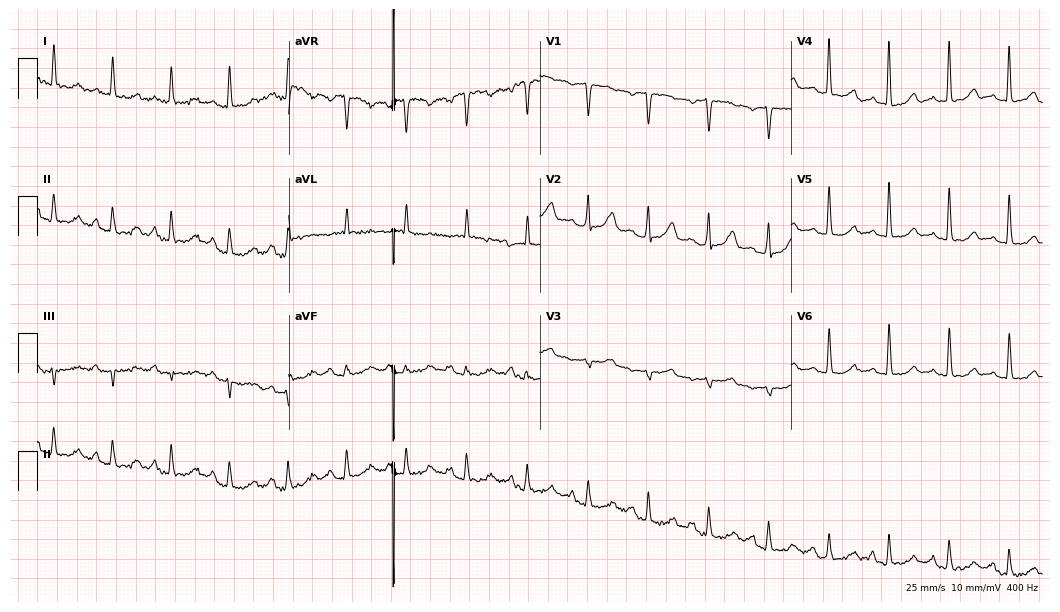
ECG (10.2-second recording at 400 Hz) — a 56-year-old woman. Screened for six findings — first-degree AV block, right bundle branch block (RBBB), left bundle branch block (LBBB), sinus bradycardia, atrial fibrillation (AF), sinus tachycardia — none is recorded. Only these six findings were labelled.